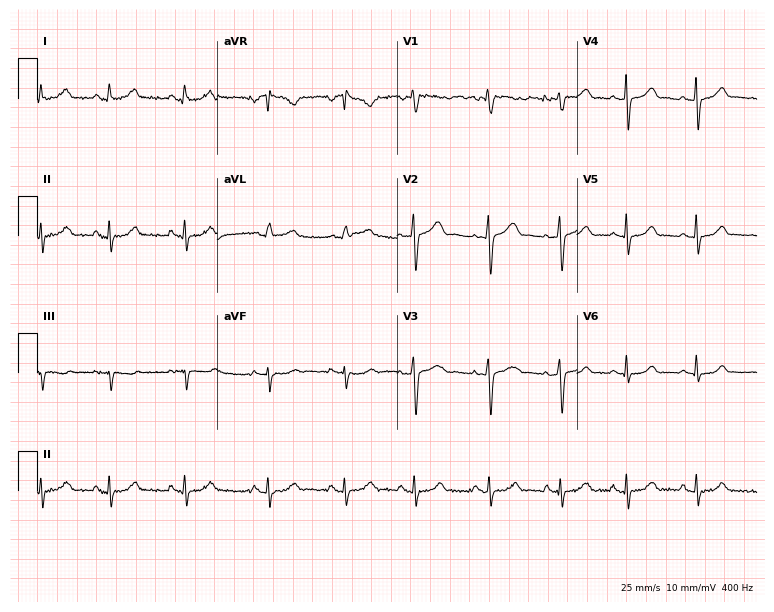
12-lead ECG from a 26-year-old female patient. No first-degree AV block, right bundle branch block, left bundle branch block, sinus bradycardia, atrial fibrillation or sinus tachycardia recorded for this tracing.